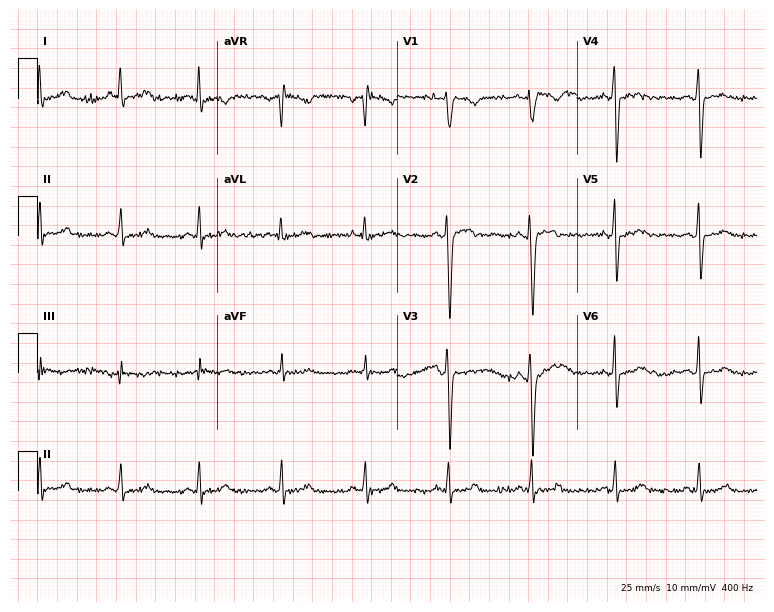
Resting 12-lead electrocardiogram. Patient: a 20-year-old woman. None of these six findings is recorded: first-degree AV block, right bundle branch block, left bundle branch block, sinus bradycardia, atrial fibrillation, sinus tachycardia. Other findings, if any, are not listed.